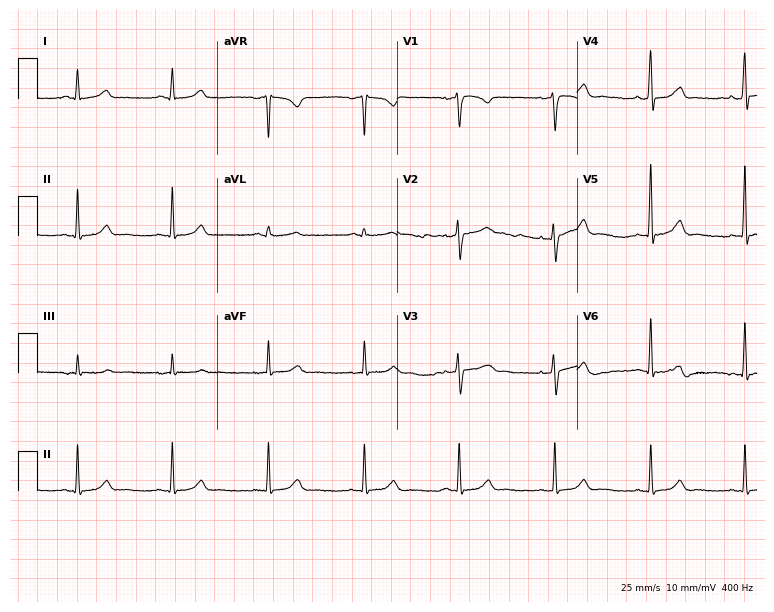
12-lead ECG from a 46-year-old female. Labelled as a normal ECG.